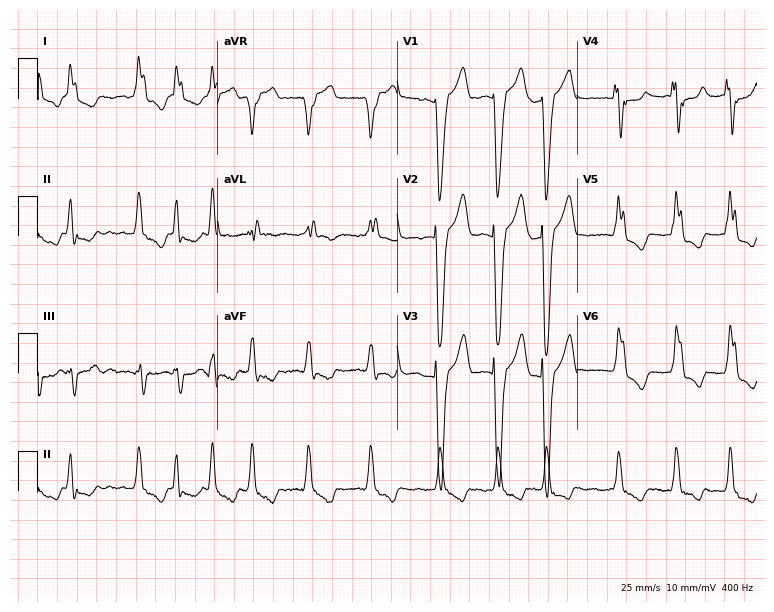
Standard 12-lead ECG recorded from a 74-year-old female. The tracing shows left bundle branch block (LBBB), atrial fibrillation (AF).